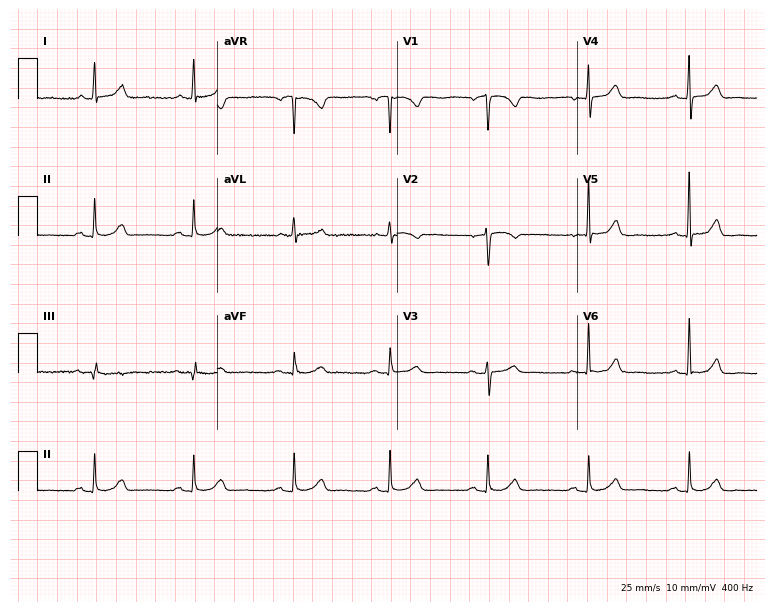
ECG (7.3-second recording at 400 Hz) — a female, 59 years old. Labelled as a normal ECG.